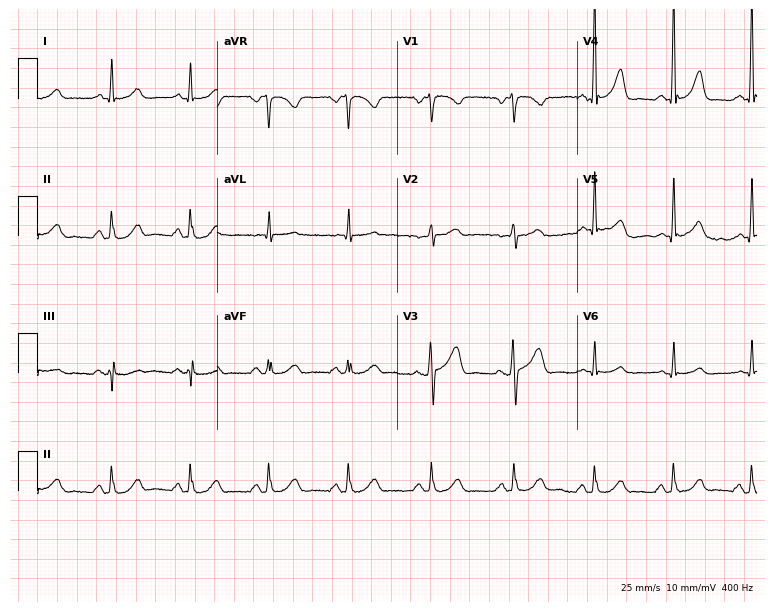
Standard 12-lead ECG recorded from a 62-year-old man (7.3-second recording at 400 Hz). None of these six findings is recorded: first-degree AV block, right bundle branch block, left bundle branch block, sinus bradycardia, atrial fibrillation, sinus tachycardia.